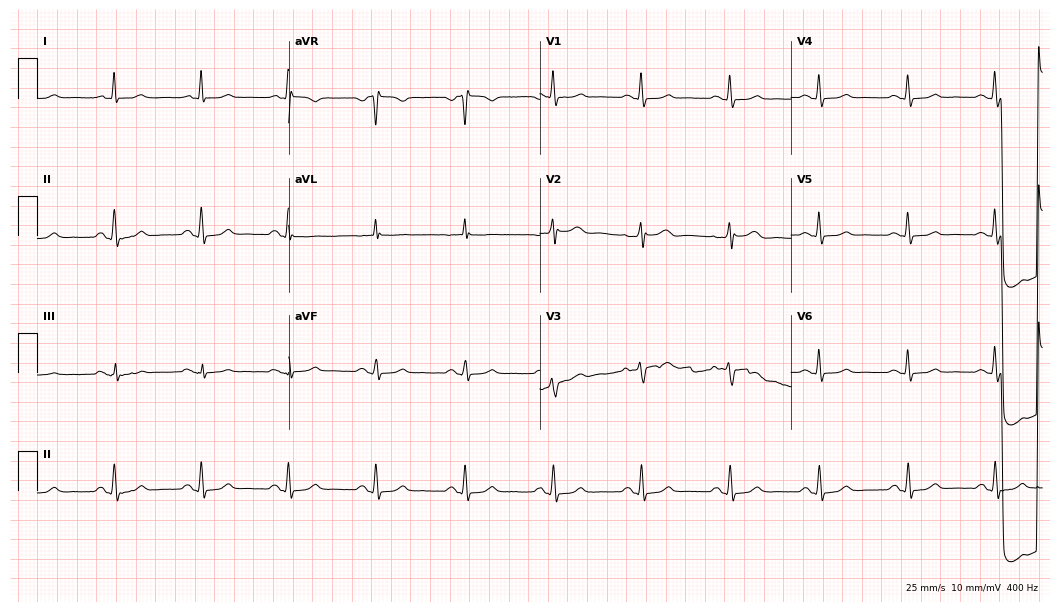
Standard 12-lead ECG recorded from a 61-year-old male (10.2-second recording at 400 Hz). Read as a normal ECG.